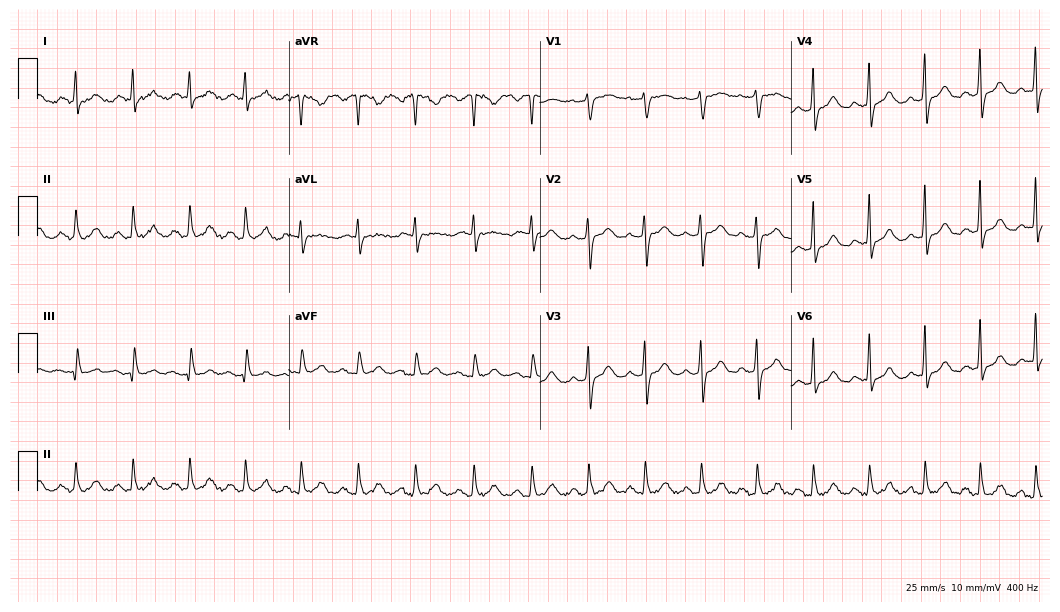
12-lead ECG (10.2-second recording at 400 Hz) from a woman, 45 years old. Screened for six findings — first-degree AV block, right bundle branch block (RBBB), left bundle branch block (LBBB), sinus bradycardia, atrial fibrillation (AF), sinus tachycardia — none is recorded.